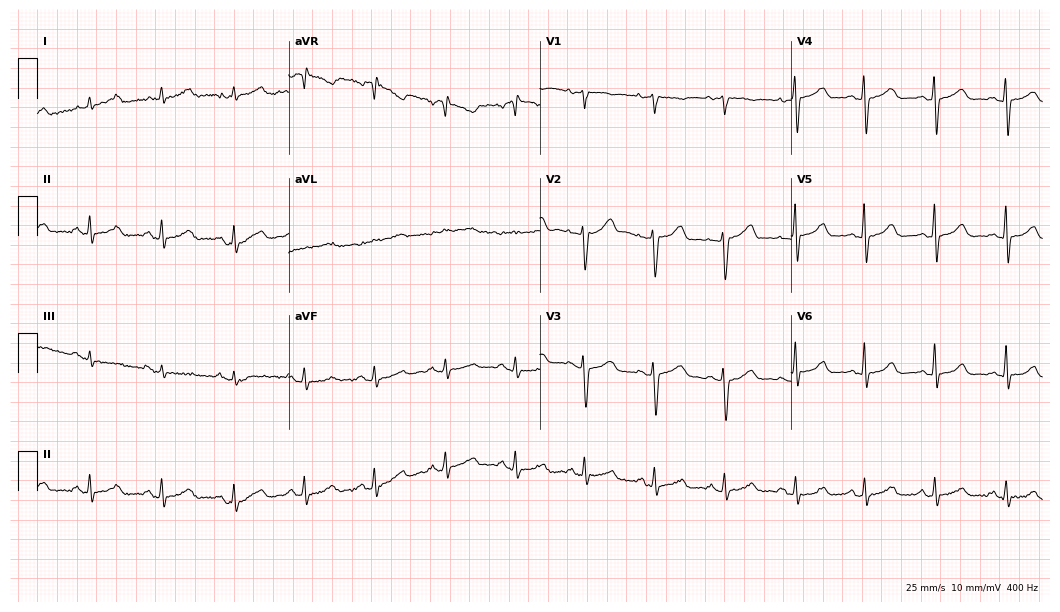
ECG (10.2-second recording at 400 Hz) — a 51-year-old woman. Labelled as a normal ECG.